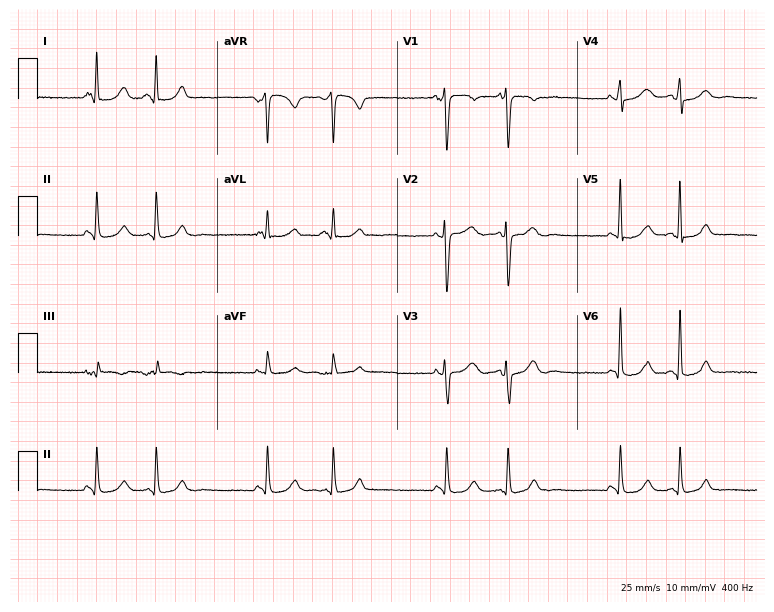
Standard 12-lead ECG recorded from a female patient, 46 years old. None of these six findings is recorded: first-degree AV block, right bundle branch block, left bundle branch block, sinus bradycardia, atrial fibrillation, sinus tachycardia.